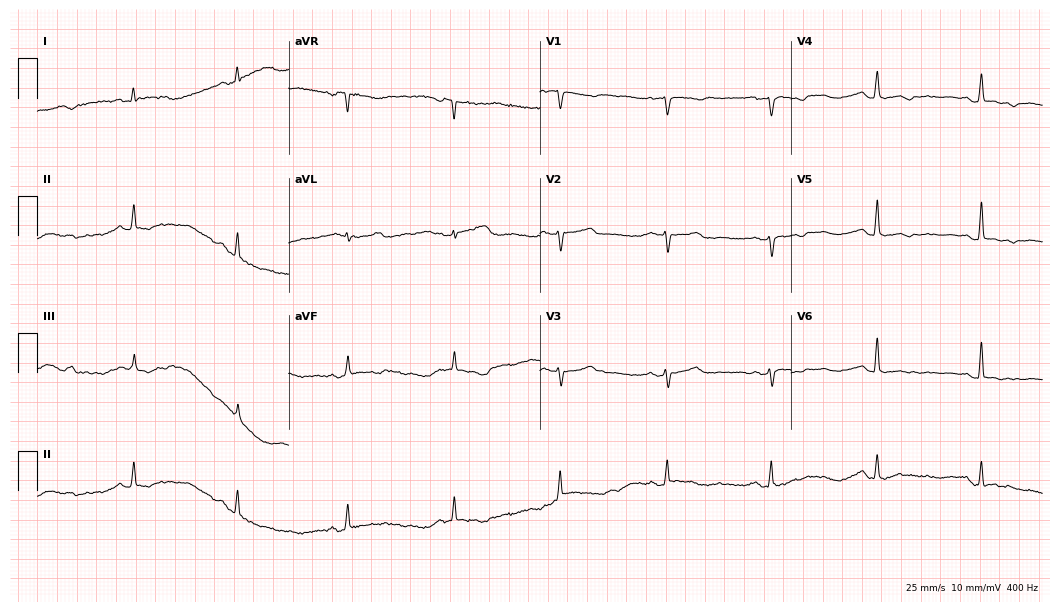
ECG — a female patient, 53 years old. Screened for six findings — first-degree AV block, right bundle branch block (RBBB), left bundle branch block (LBBB), sinus bradycardia, atrial fibrillation (AF), sinus tachycardia — none is recorded. Other findings, if any, are not listed.